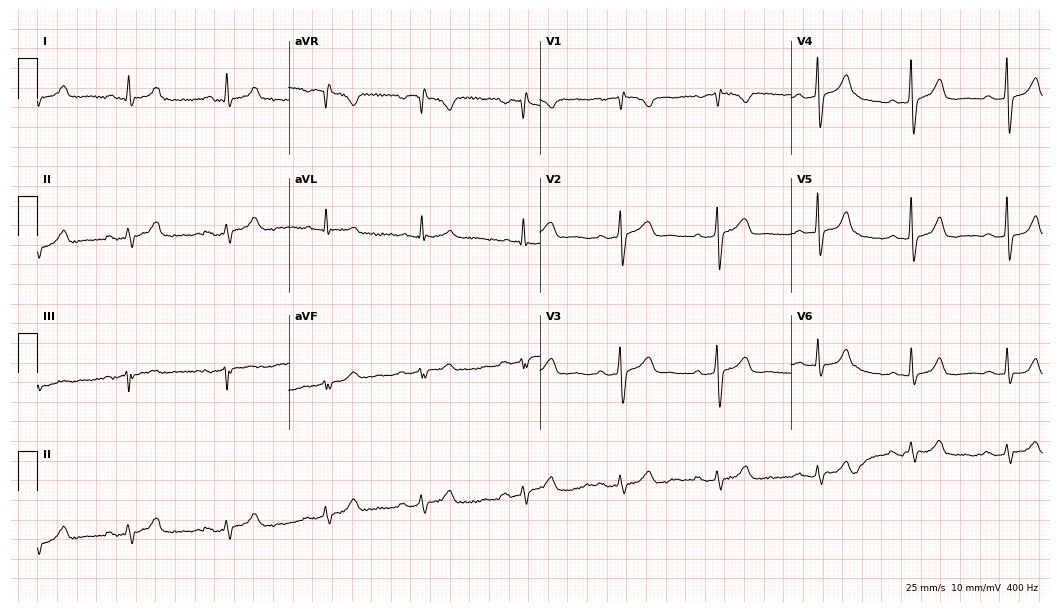
Electrocardiogram (10.2-second recording at 400 Hz), a 56-year-old male. Of the six screened findings (first-degree AV block, right bundle branch block, left bundle branch block, sinus bradycardia, atrial fibrillation, sinus tachycardia), none is recorded. Only these six findings were labelled.